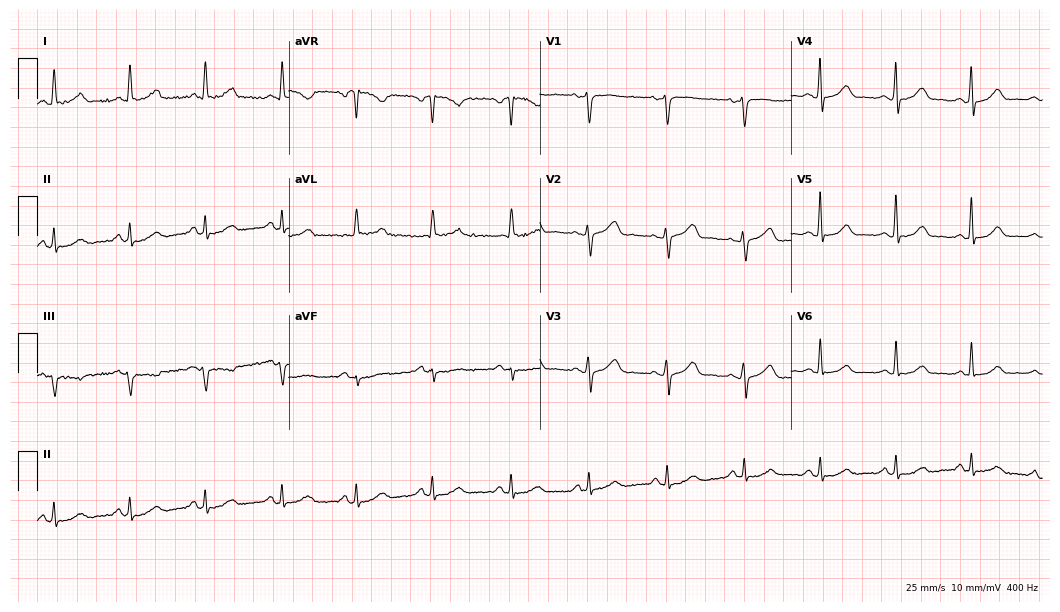
12-lead ECG from a 40-year-old female. No first-degree AV block, right bundle branch block, left bundle branch block, sinus bradycardia, atrial fibrillation or sinus tachycardia recorded for this tracing. Only these six findings were labelled.